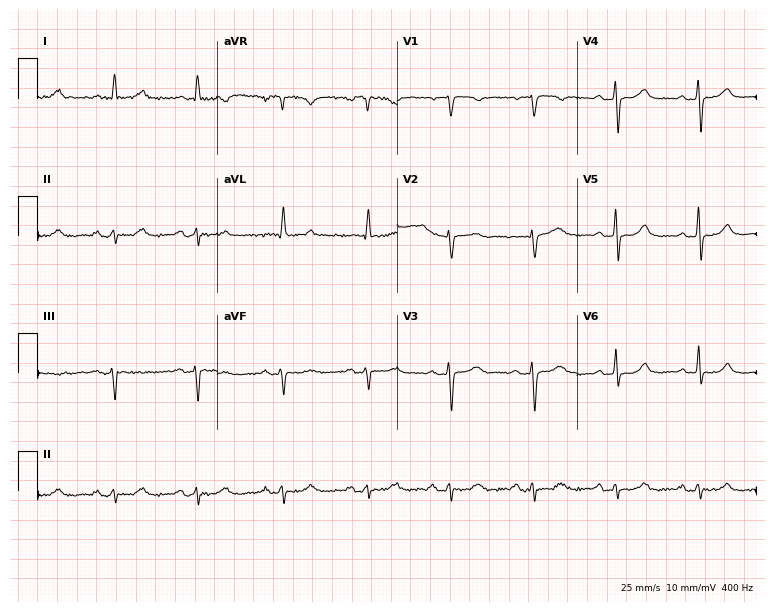
12-lead ECG (7.3-second recording at 400 Hz) from a 76-year-old female. Screened for six findings — first-degree AV block, right bundle branch block (RBBB), left bundle branch block (LBBB), sinus bradycardia, atrial fibrillation (AF), sinus tachycardia — none is recorded. Other findings, if any, are not listed.